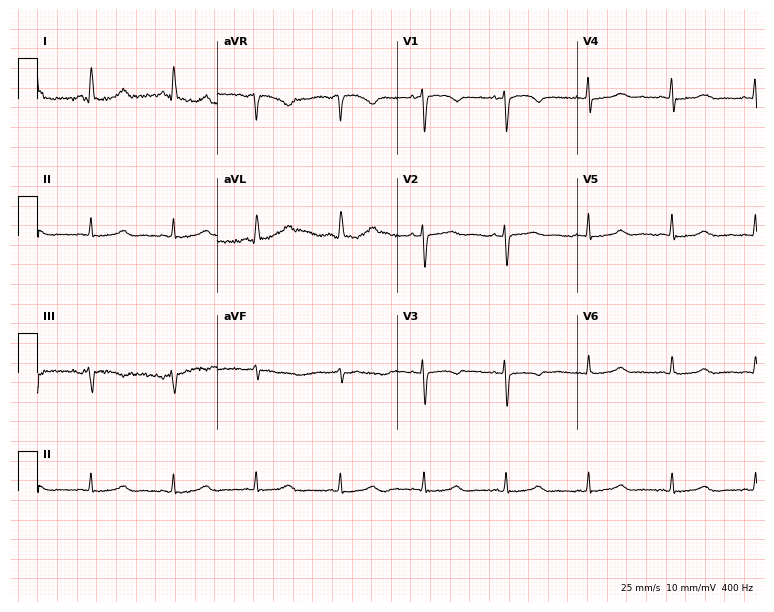
ECG — a female, 71 years old. Labelled as a normal ECG.